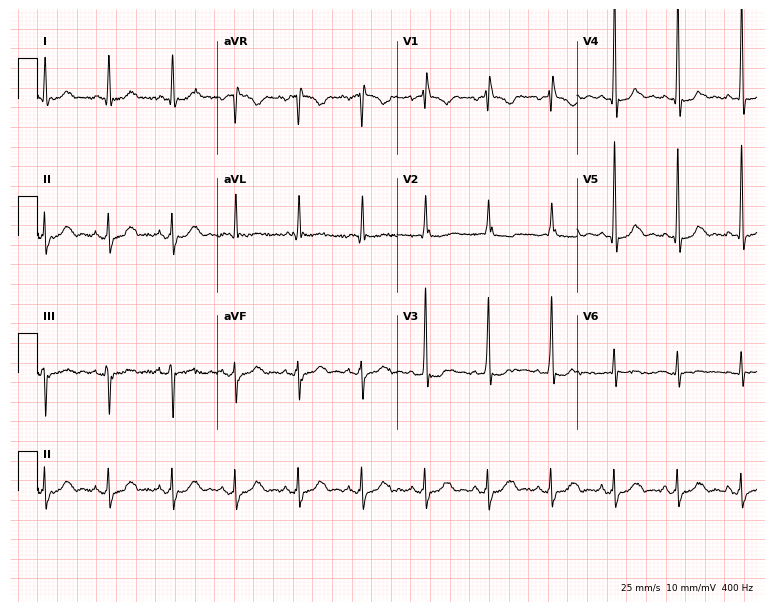
Standard 12-lead ECG recorded from an 88-year-old woman. None of these six findings is recorded: first-degree AV block, right bundle branch block (RBBB), left bundle branch block (LBBB), sinus bradycardia, atrial fibrillation (AF), sinus tachycardia. Only these six findings were labelled.